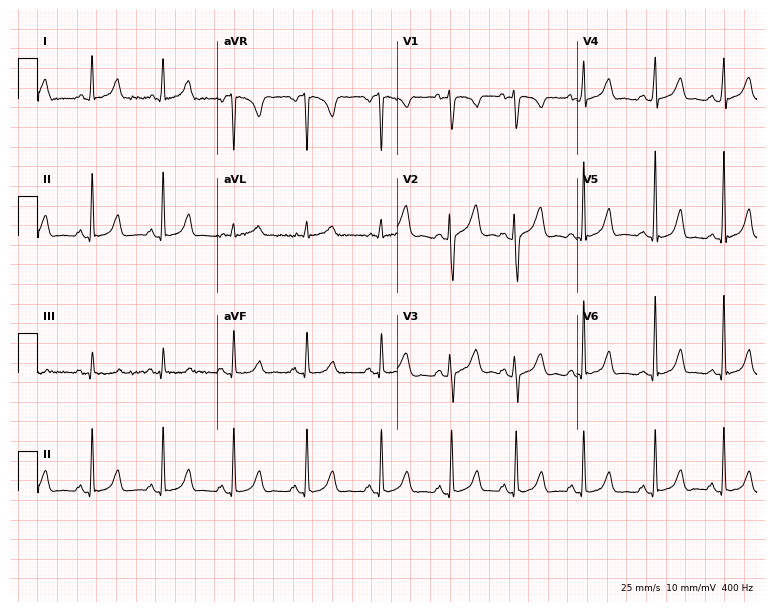
Electrocardiogram, a 33-year-old female. Of the six screened findings (first-degree AV block, right bundle branch block, left bundle branch block, sinus bradycardia, atrial fibrillation, sinus tachycardia), none is recorded.